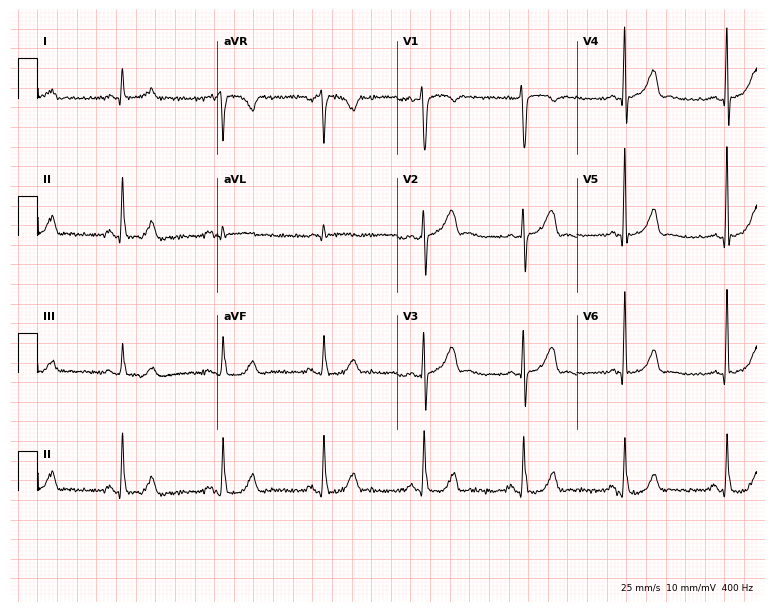
12-lead ECG from a 65-year-old male patient (7.3-second recording at 400 Hz). No first-degree AV block, right bundle branch block (RBBB), left bundle branch block (LBBB), sinus bradycardia, atrial fibrillation (AF) or sinus tachycardia recorded for this tracing. Only these six findings were labelled.